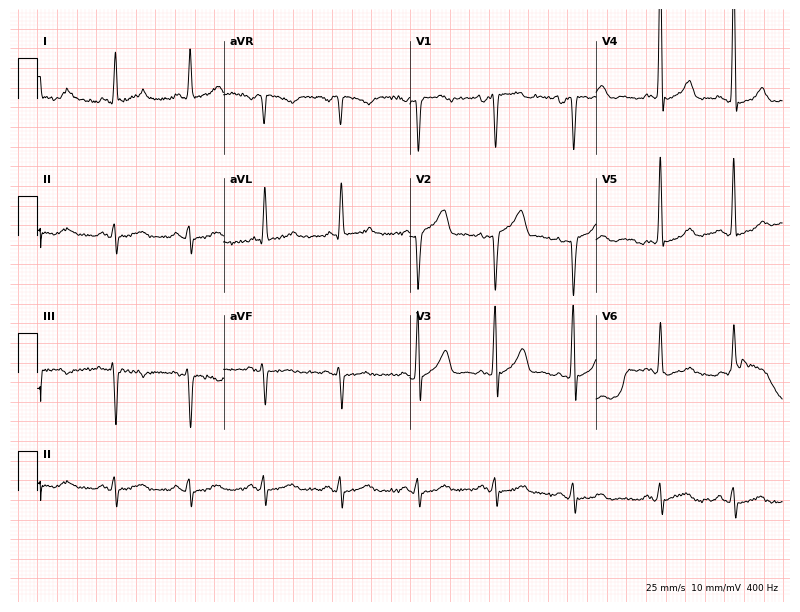
12-lead ECG (7.6-second recording at 400 Hz) from a 74-year-old male patient. Screened for six findings — first-degree AV block, right bundle branch block, left bundle branch block, sinus bradycardia, atrial fibrillation, sinus tachycardia — none is recorded.